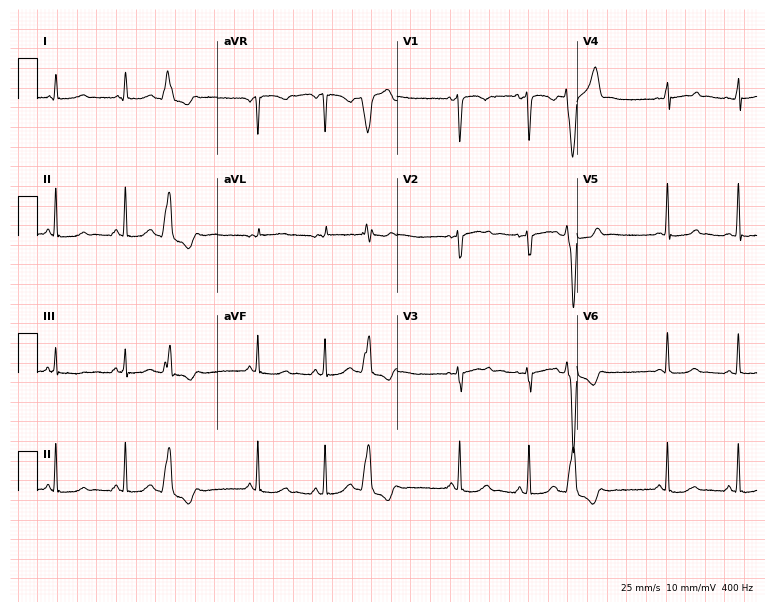
Resting 12-lead electrocardiogram. Patient: a 39-year-old woman. None of these six findings is recorded: first-degree AV block, right bundle branch block, left bundle branch block, sinus bradycardia, atrial fibrillation, sinus tachycardia.